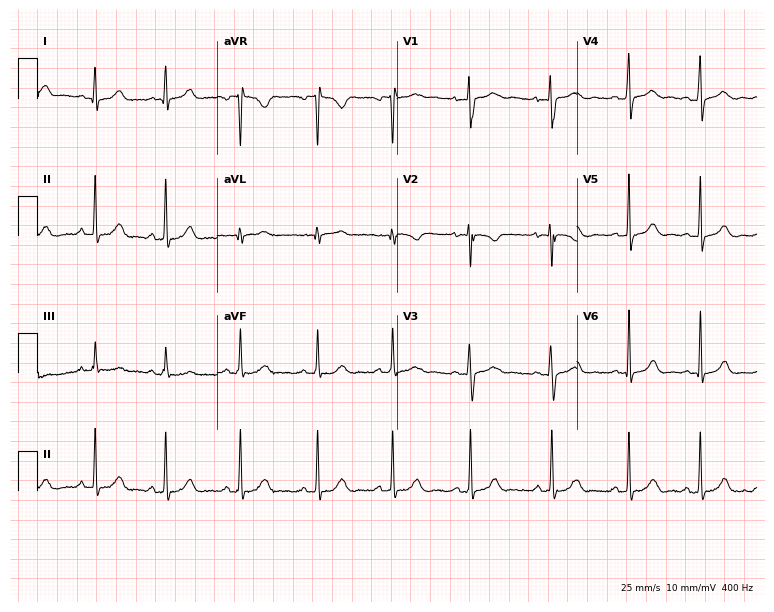
Electrocardiogram (7.3-second recording at 400 Hz), a 17-year-old woman. Overall reading on record: normal ECG.